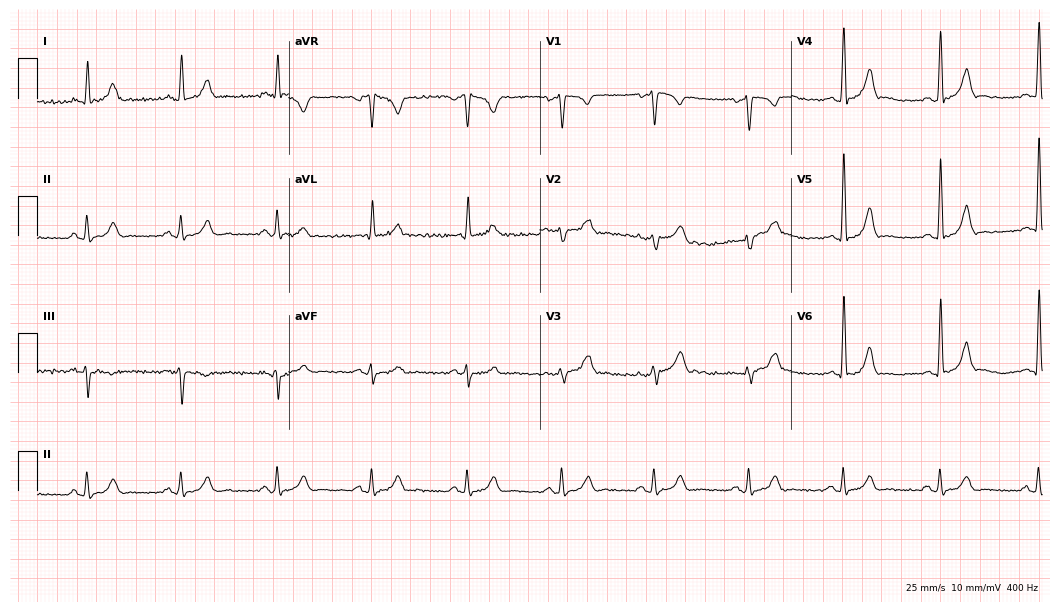
Resting 12-lead electrocardiogram (10.2-second recording at 400 Hz). Patient: a male, 64 years old. Read as a normal ECG.